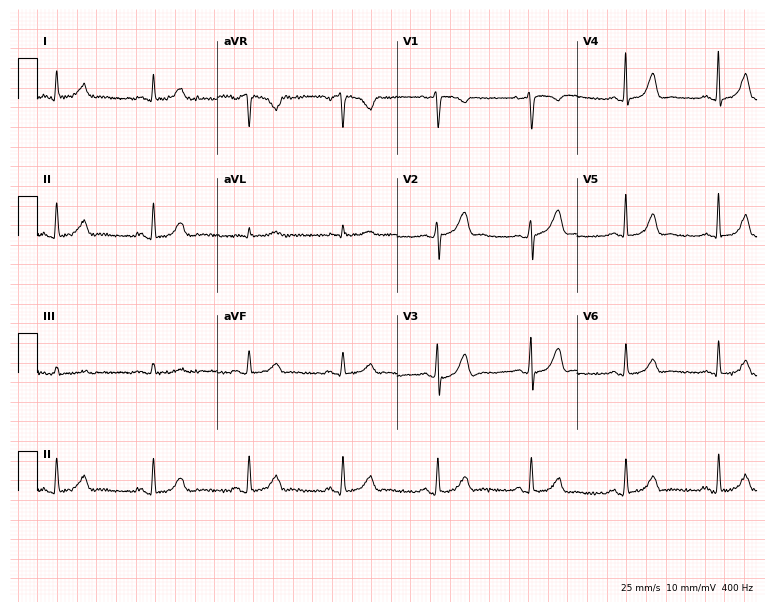
12-lead ECG from a 57-year-old female patient. Screened for six findings — first-degree AV block, right bundle branch block (RBBB), left bundle branch block (LBBB), sinus bradycardia, atrial fibrillation (AF), sinus tachycardia — none is recorded. Other findings, if any, are not listed.